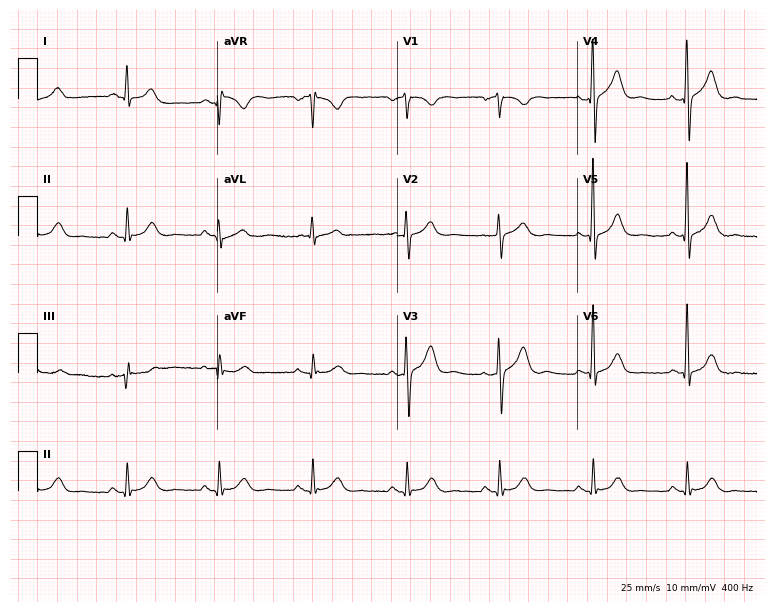
12-lead ECG from a man, 80 years old. Labelled as a normal ECG.